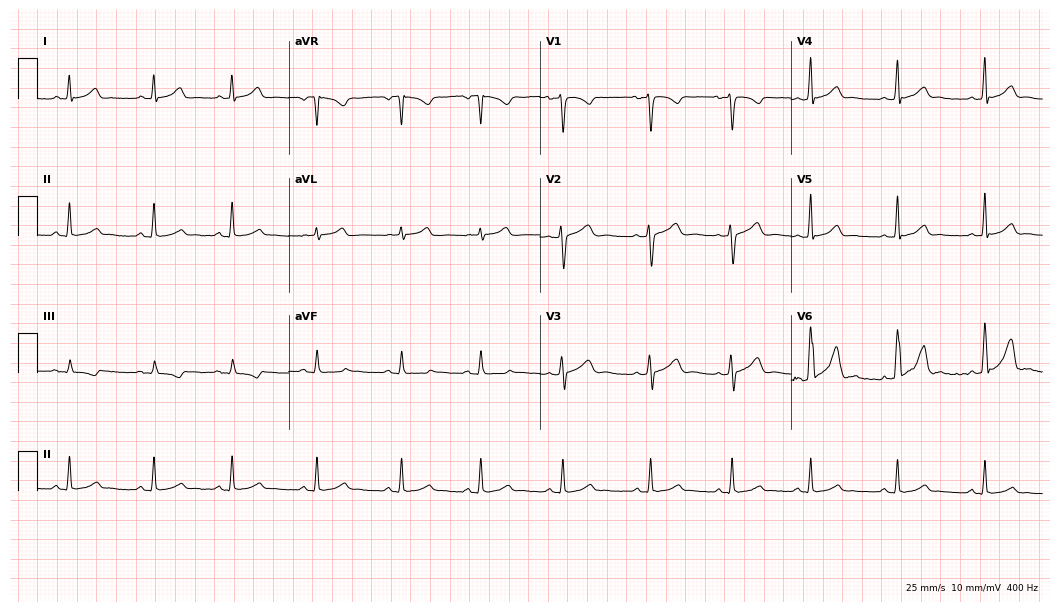
Standard 12-lead ECG recorded from a 26-year-old female (10.2-second recording at 400 Hz). Read as a normal ECG.